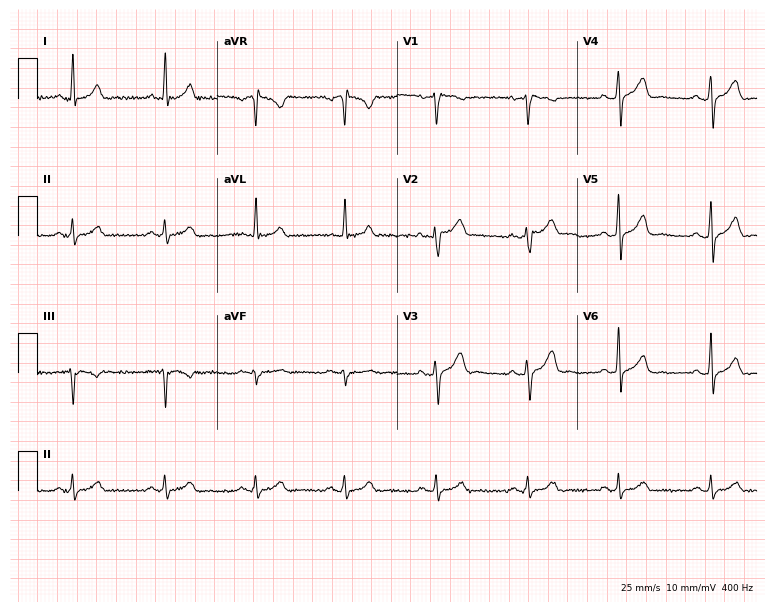
12-lead ECG (7.3-second recording at 400 Hz) from a male patient, 34 years old. Labelled as a normal ECG.